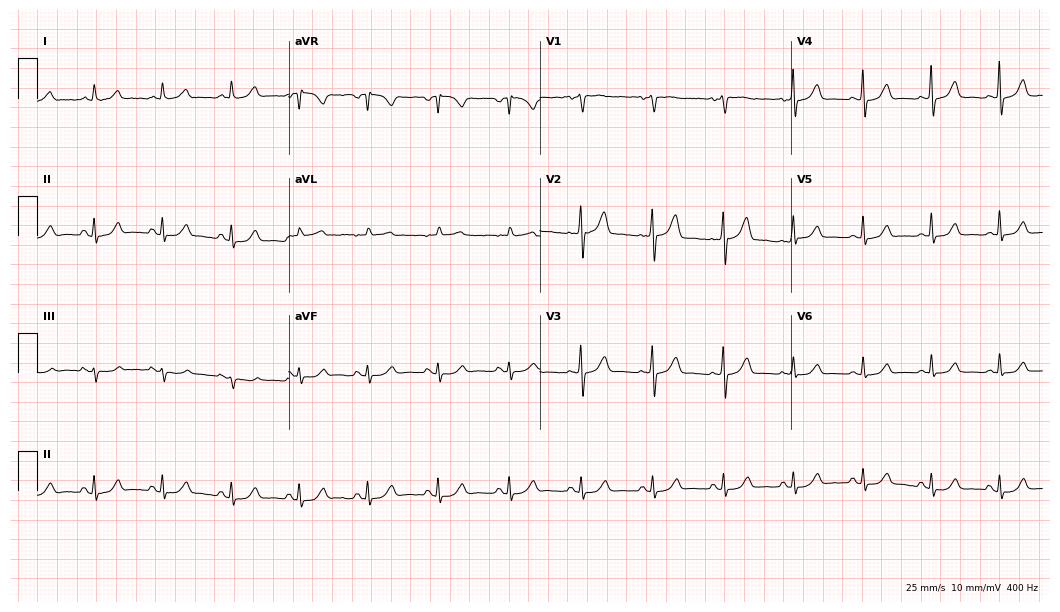
ECG — a female, 48 years old. Labelled as a normal ECG.